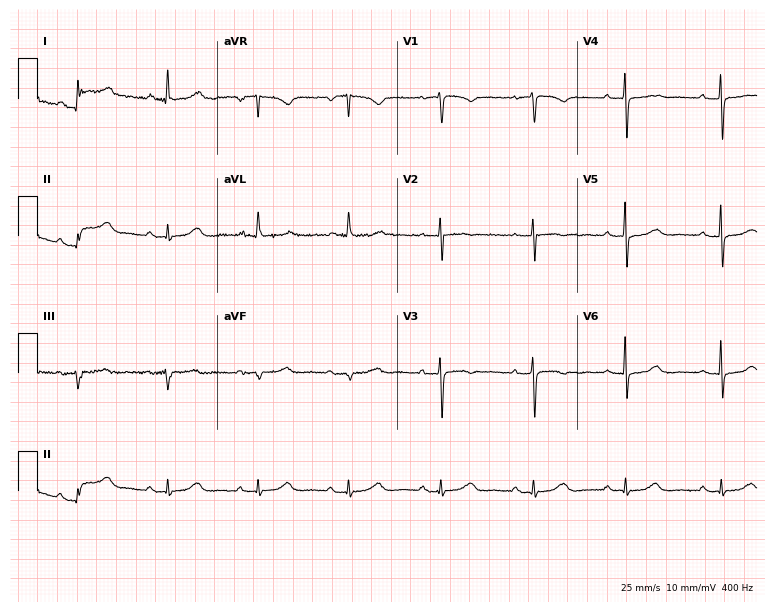
12-lead ECG from a 64-year-old woman. No first-degree AV block, right bundle branch block, left bundle branch block, sinus bradycardia, atrial fibrillation or sinus tachycardia recorded for this tracing. Findings outside these six are not listed.